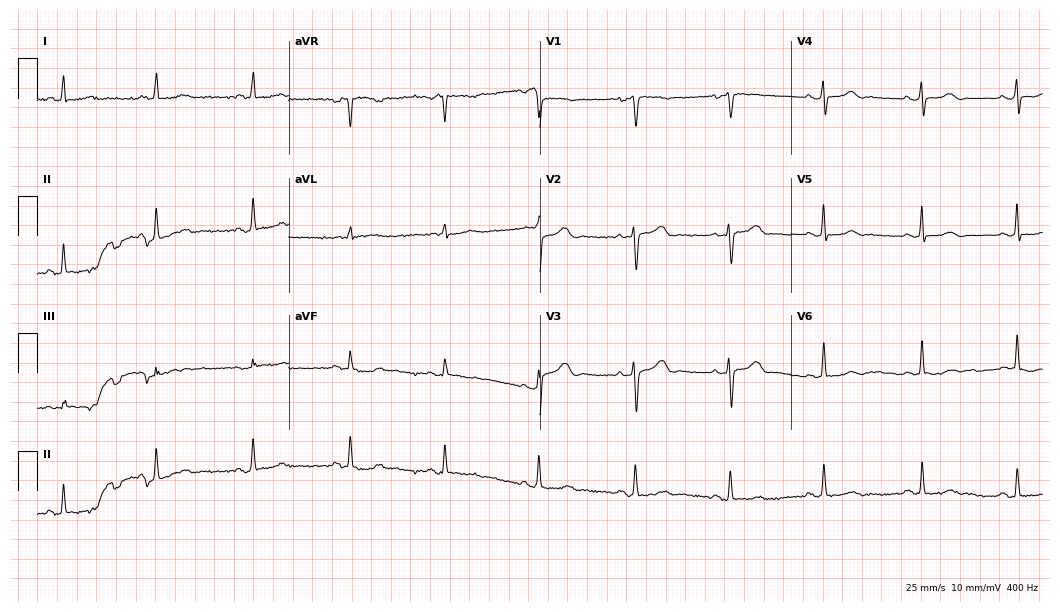
Standard 12-lead ECG recorded from a 64-year-old woman (10.2-second recording at 400 Hz). None of these six findings is recorded: first-degree AV block, right bundle branch block, left bundle branch block, sinus bradycardia, atrial fibrillation, sinus tachycardia.